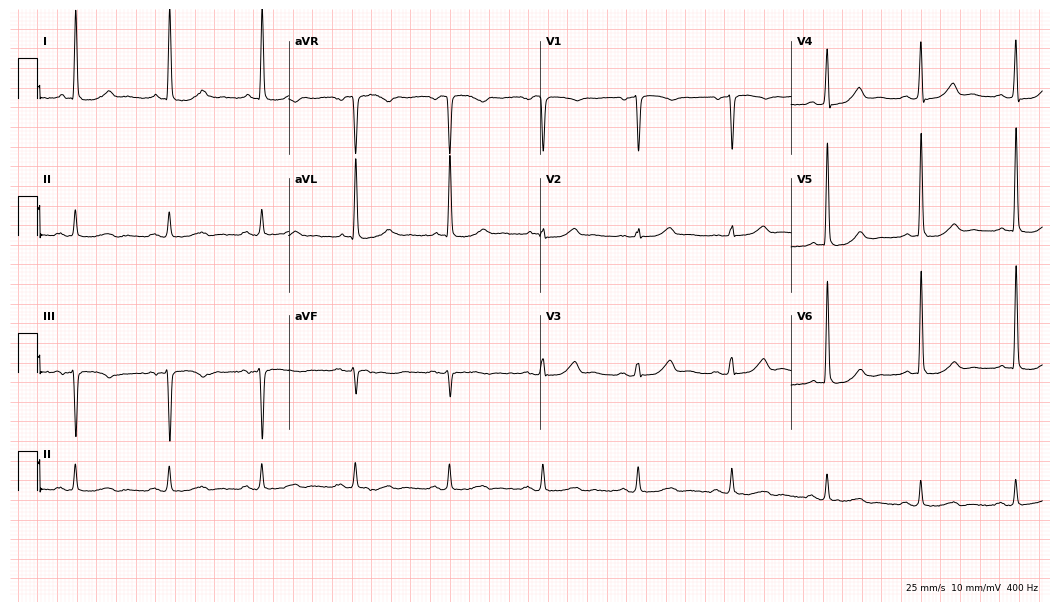
Electrocardiogram (10.2-second recording at 400 Hz), a male patient, 73 years old. Of the six screened findings (first-degree AV block, right bundle branch block, left bundle branch block, sinus bradycardia, atrial fibrillation, sinus tachycardia), none is recorded. Only these six findings were labelled.